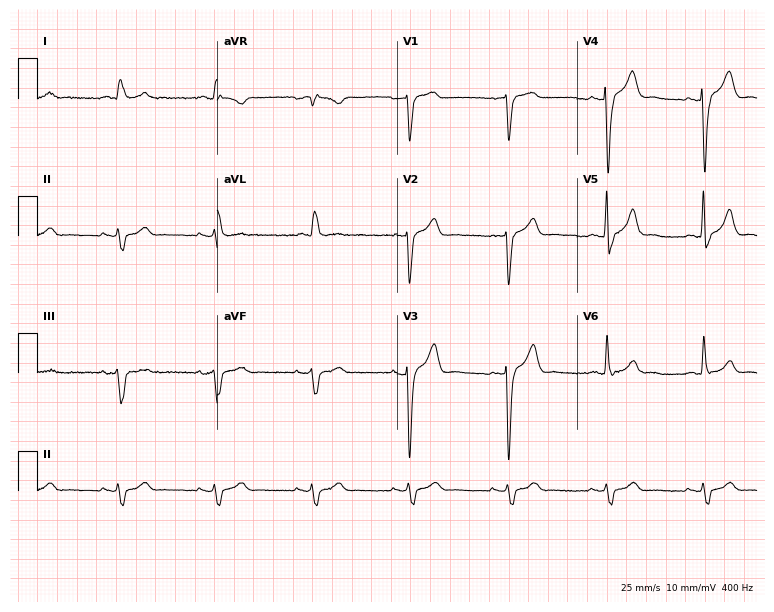
12-lead ECG from an 80-year-old male. Screened for six findings — first-degree AV block, right bundle branch block, left bundle branch block, sinus bradycardia, atrial fibrillation, sinus tachycardia — none is recorded.